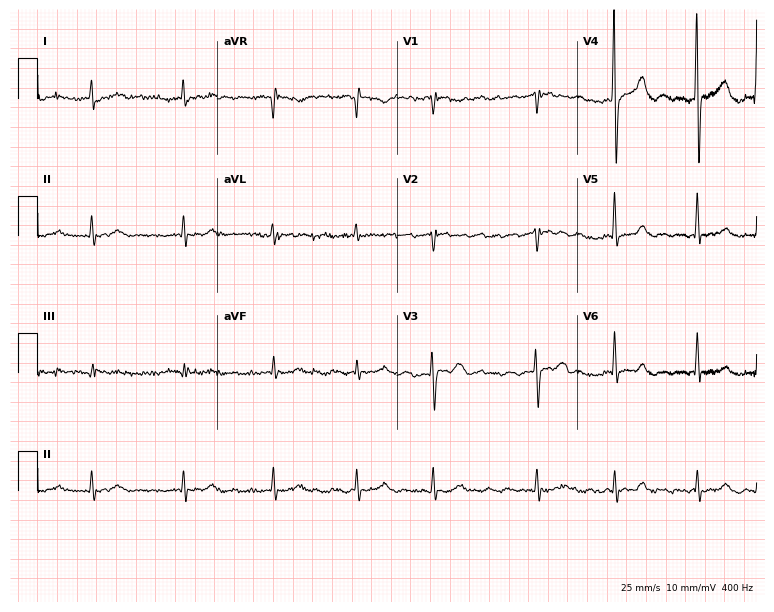
Standard 12-lead ECG recorded from a man, 61 years old (7.3-second recording at 400 Hz). The tracing shows atrial fibrillation (AF).